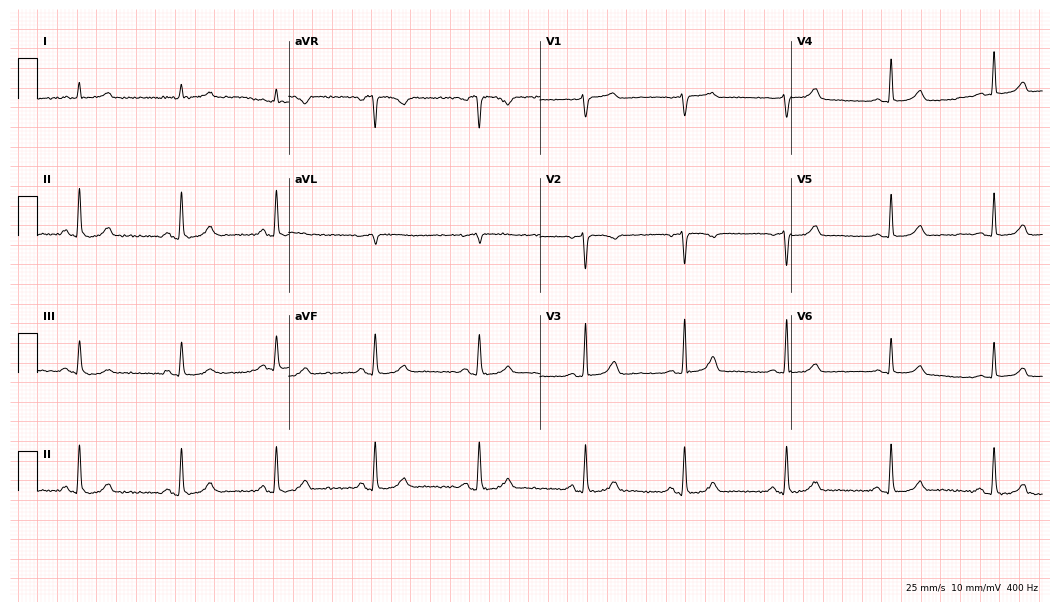
ECG — a 49-year-old female patient. Labelled as a normal ECG.